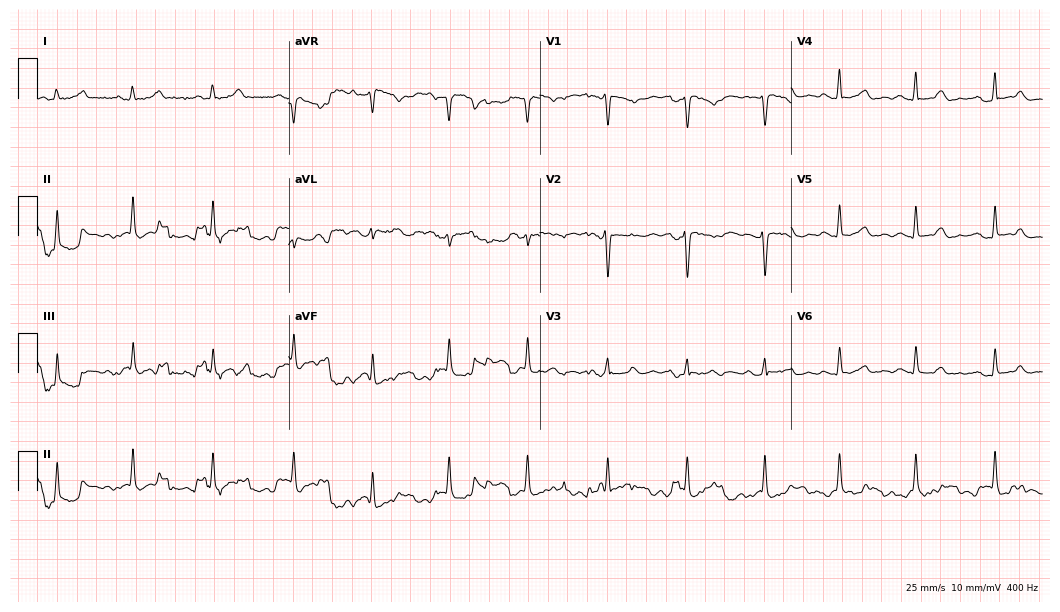
12-lead ECG from a woman, 24 years old. Labelled as a normal ECG.